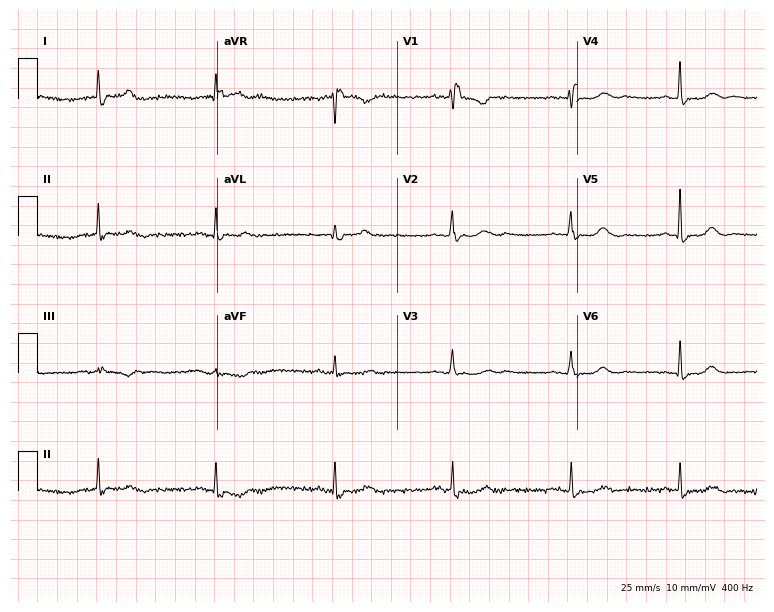
12-lead ECG (7.3-second recording at 400 Hz) from a 69-year-old female. Findings include right bundle branch block, sinus bradycardia (a sinus rate of 50 beats per minute or less).